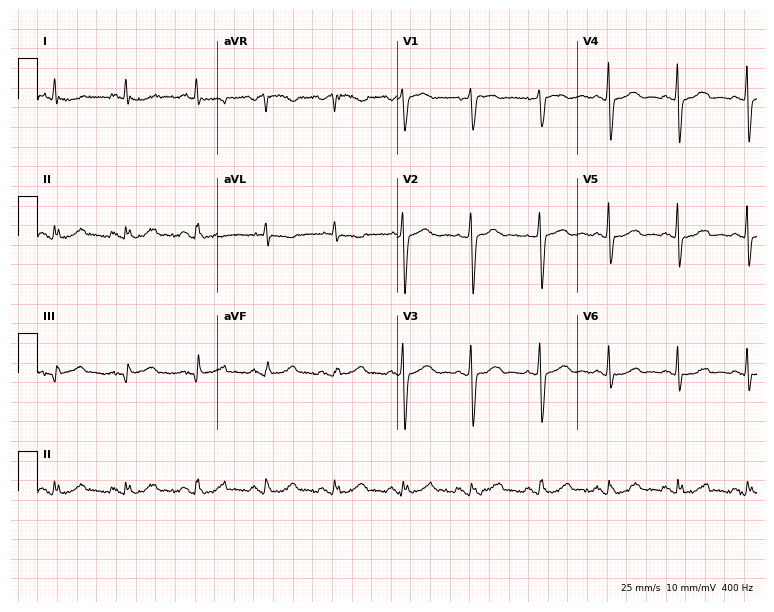
12-lead ECG from a female, 61 years old. Screened for six findings — first-degree AV block, right bundle branch block, left bundle branch block, sinus bradycardia, atrial fibrillation, sinus tachycardia — none is recorded.